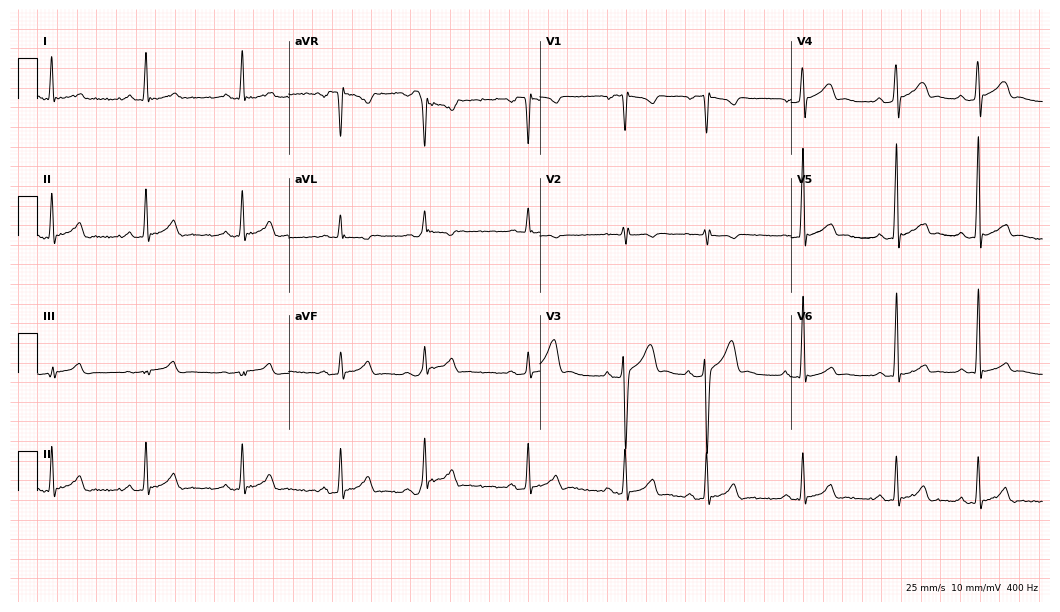
Standard 12-lead ECG recorded from a male patient, 21 years old. Read as a normal ECG.